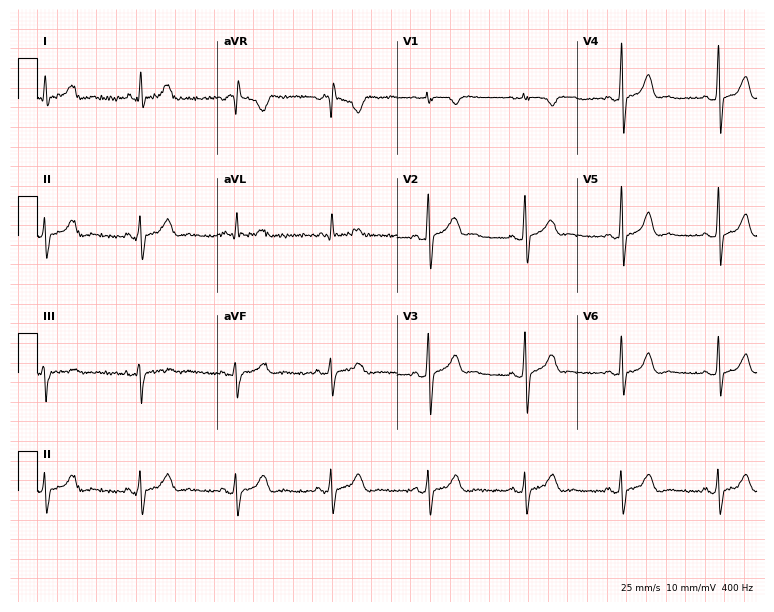
12-lead ECG (7.3-second recording at 400 Hz) from a male, 59 years old. Screened for six findings — first-degree AV block, right bundle branch block, left bundle branch block, sinus bradycardia, atrial fibrillation, sinus tachycardia — none is recorded.